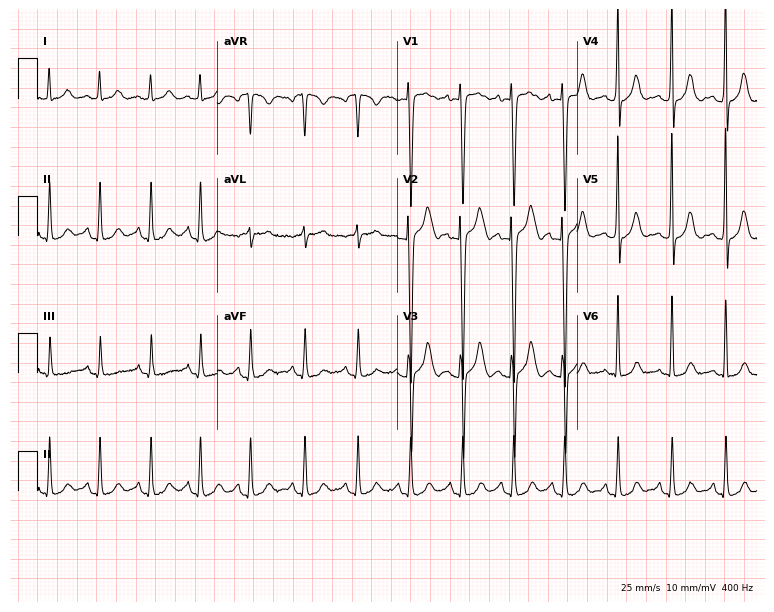
Electrocardiogram, a 17-year-old female. Of the six screened findings (first-degree AV block, right bundle branch block (RBBB), left bundle branch block (LBBB), sinus bradycardia, atrial fibrillation (AF), sinus tachycardia), none is recorded.